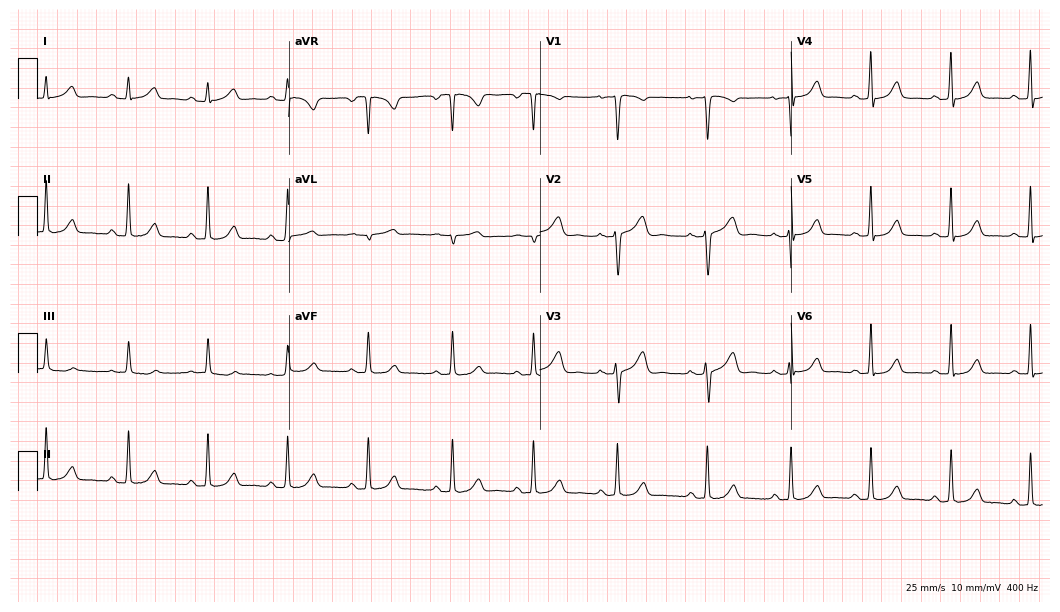
Resting 12-lead electrocardiogram. Patient: a female, 42 years old. Read as a normal ECG.